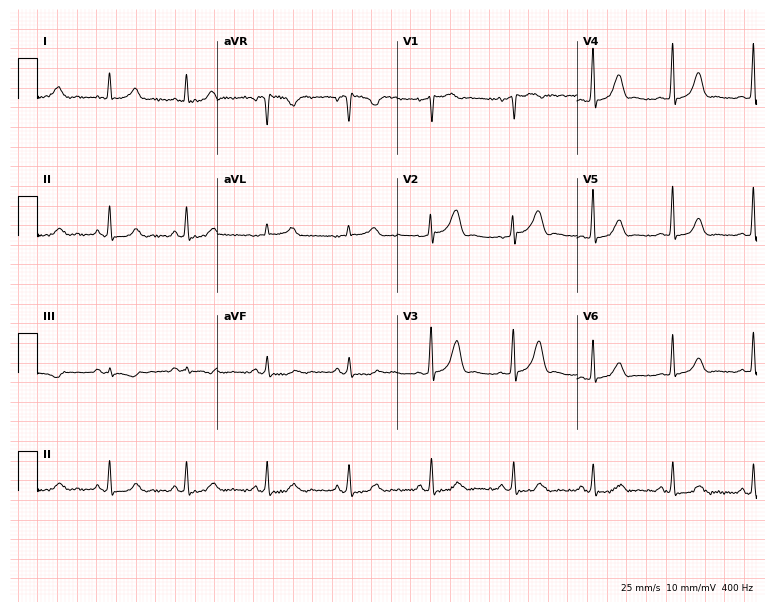
12-lead ECG from a female patient, 36 years old (7.3-second recording at 400 Hz). No first-degree AV block, right bundle branch block, left bundle branch block, sinus bradycardia, atrial fibrillation or sinus tachycardia recorded for this tracing. Only these six findings were labelled.